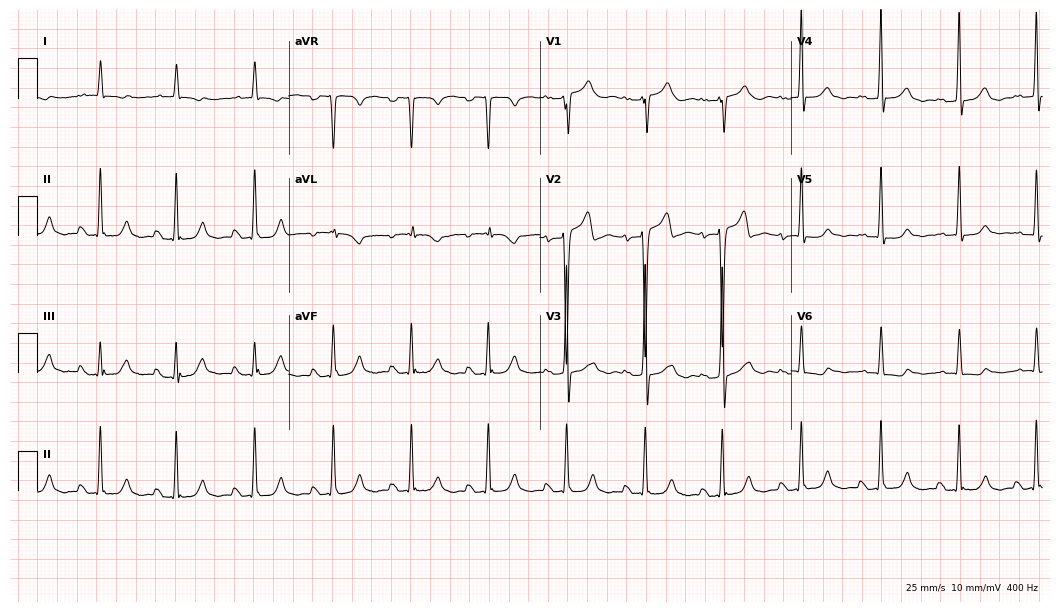
ECG (10.2-second recording at 400 Hz) — a male patient, 59 years old. Screened for six findings — first-degree AV block, right bundle branch block, left bundle branch block, sinus bradycardia, atrial fibrillation, sinus tachycardia — none is recorded. Other findings, if any, are not listed.